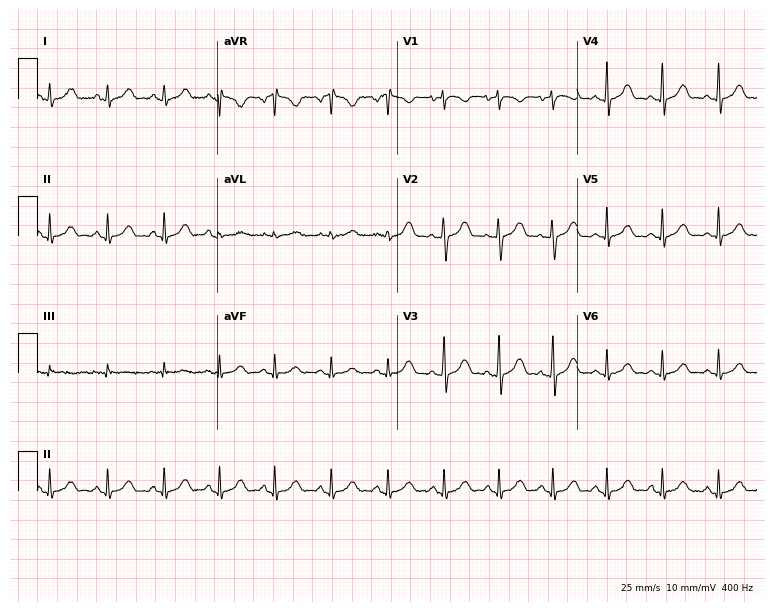
12-lead ECG from a 39-year-old female patient (7.3-second recording at 400 Hz). Shows sinus tachycardia (a sinus rate of 100 beats per minute or more).